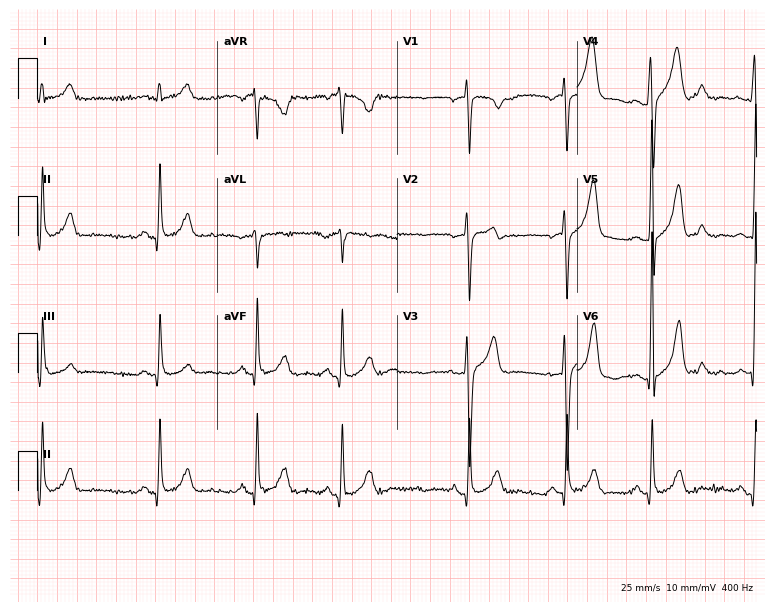
12-lead ECG from a 33-year-old male patient (7.3-second recording at 400 Hz). Recorded interpretation: within normal limits.